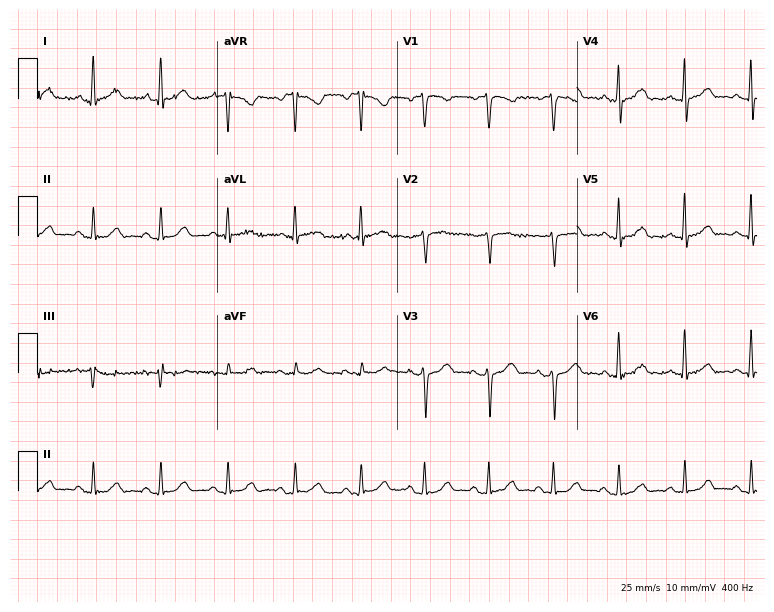
ECG — a 56-year-old woman. Labelled as a normal ECG.